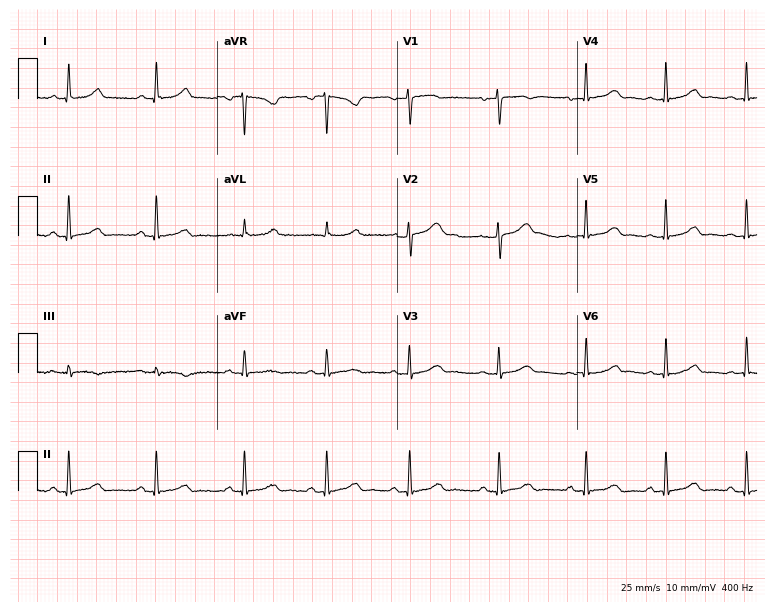
12-lead ECG from a 36-year-old woman. Recorded interpretation: within normal limits.